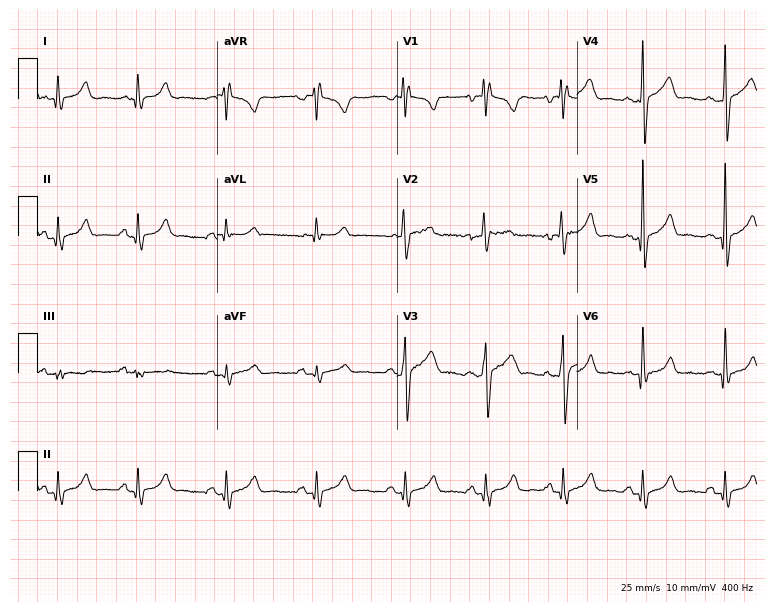
12-lead ECG from a 19-year-old male (7.3-second recording at 400 Hz). Recorded interpretation: within normal limits.